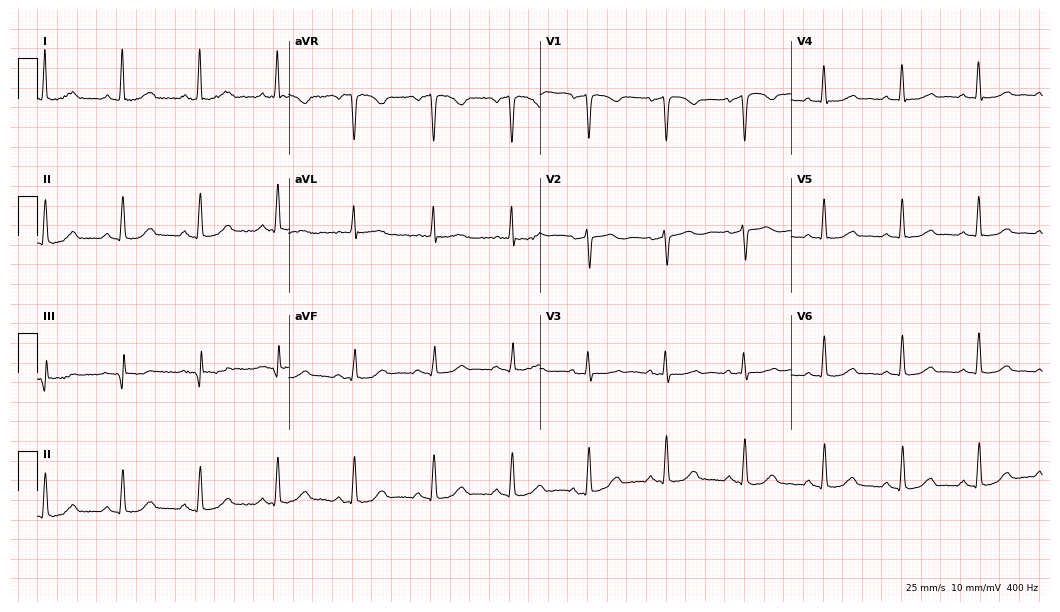
ECG — a 60-year-old female patient. Labelled as a normal ECG.